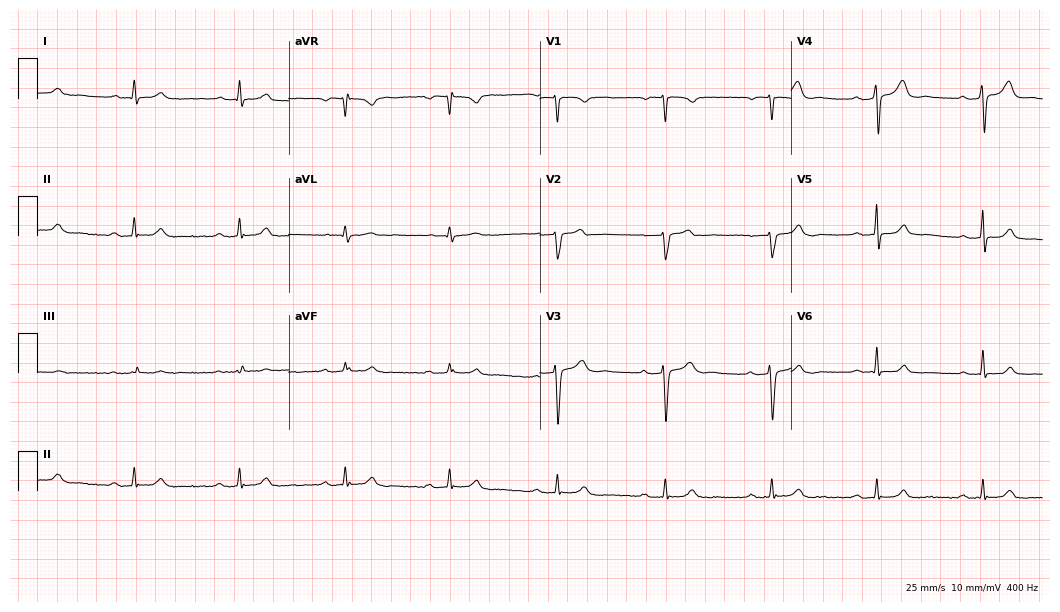
12-lead ECG from a 34-year-old man. Shows first-degree AV block.